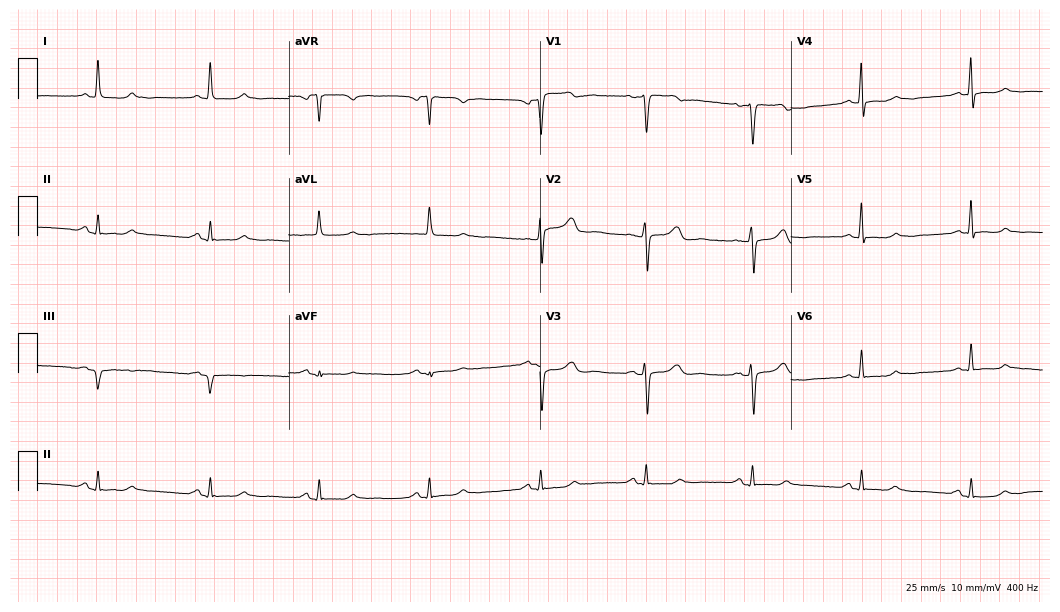
12-lead ECG (10.2-second recording at 400 Hz) from a female patient, 79 years old. Labelled as a normal ECG.